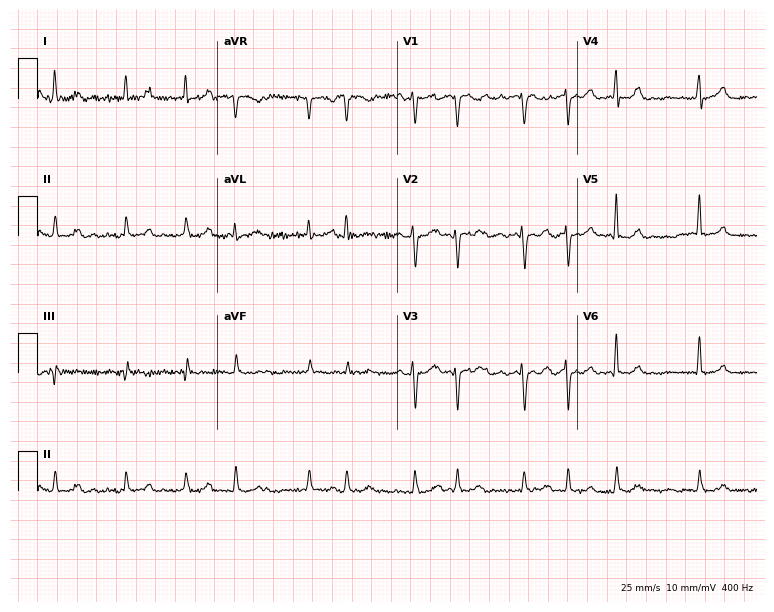
Standard 12-lead ECG recorded from a female, 85 years old. The tracing shows atrial fibrillation.